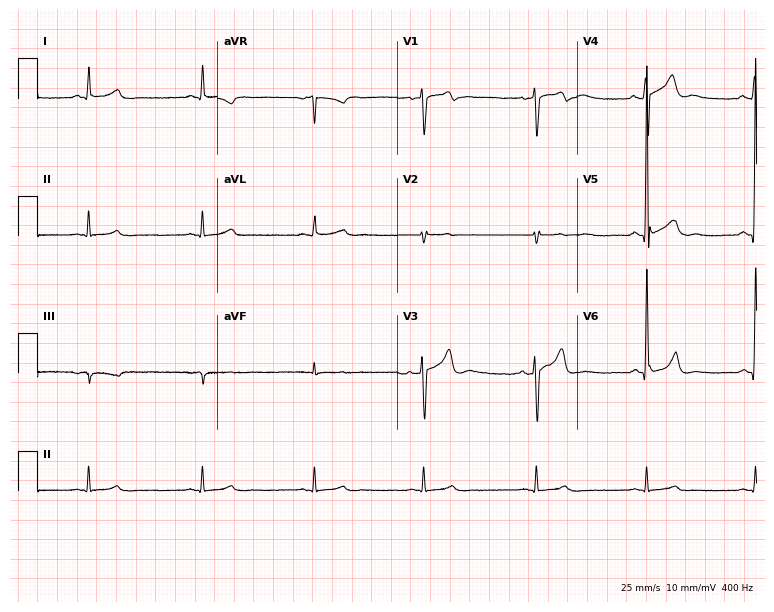
Standard 12-lead ECG recorded from a man, 59 years old (7.3-second recording at 400 Hz). Read as a normal ECG.